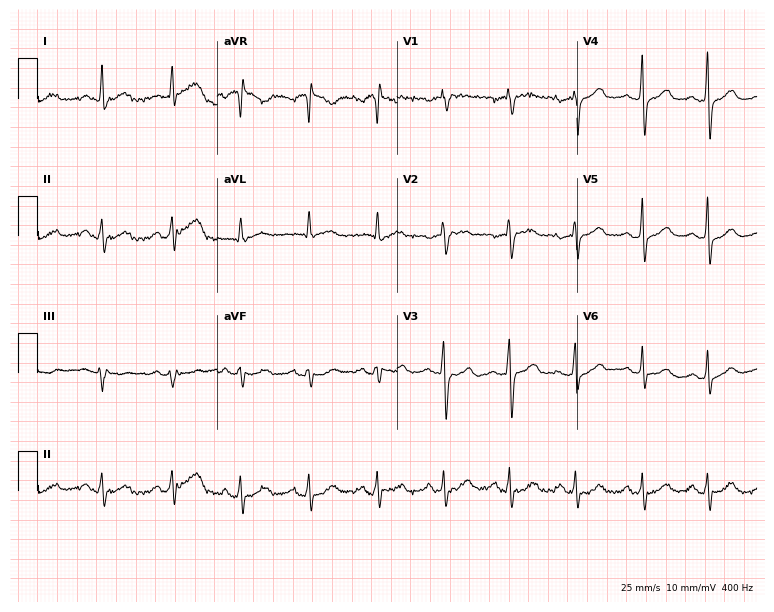
Resting 12-lead electrocardiogram. Patient: a woman, 58 years old. Read as a normal ECG.